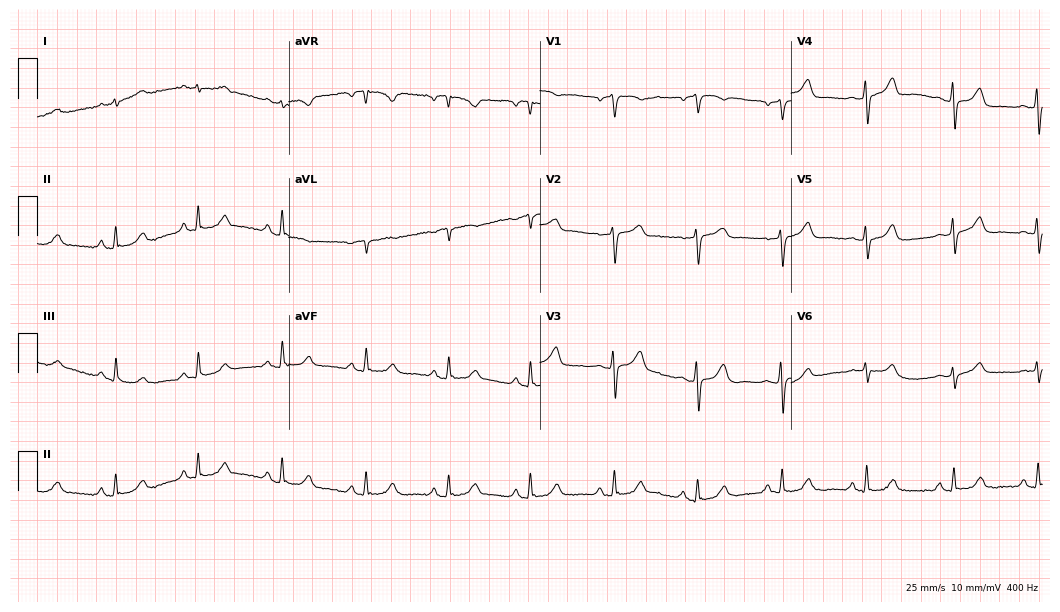
Standard 12-lead ECG recorded from a male patient, 64 years old. None of these six findings is recorded: first-degree AV block, right bundle branch block, left bundle branch block, sinus bradycardia, atrial fibrillation, sinus tachycardia.